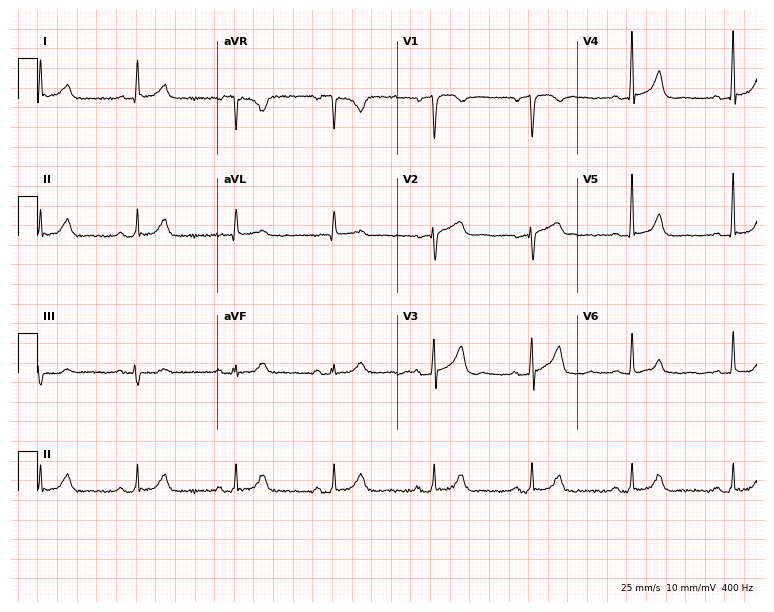
Electrocardiogram (7.3-second recording at 400 Hz), a male, 69 years old. Overall reading on record: normal ECG.